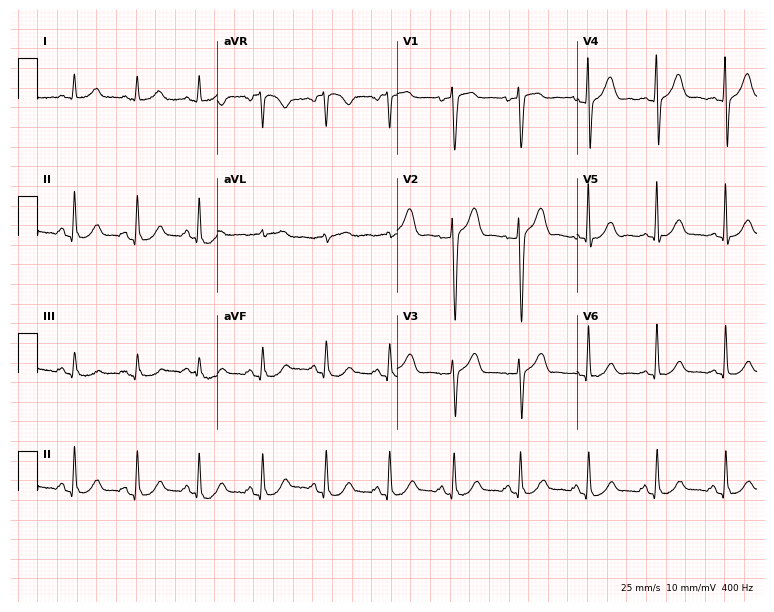
Standard 12-lead ECG recorded from a 61-year-old man (7.3-second recording at 400 Hz). Read as a normal ECG.